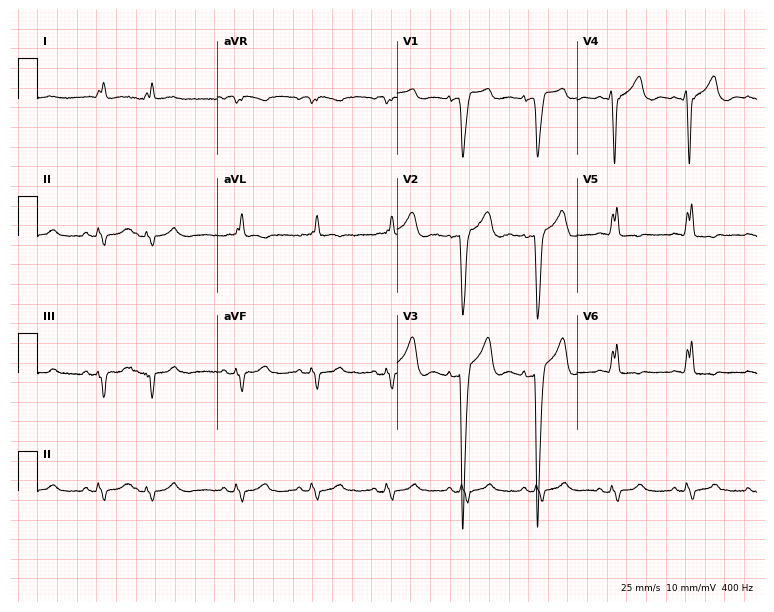
Electrocardiogram (7.3-second recording at 400 Hz), a woman, 82 years old. Interpretation includes left bundle branch block (LBBB).